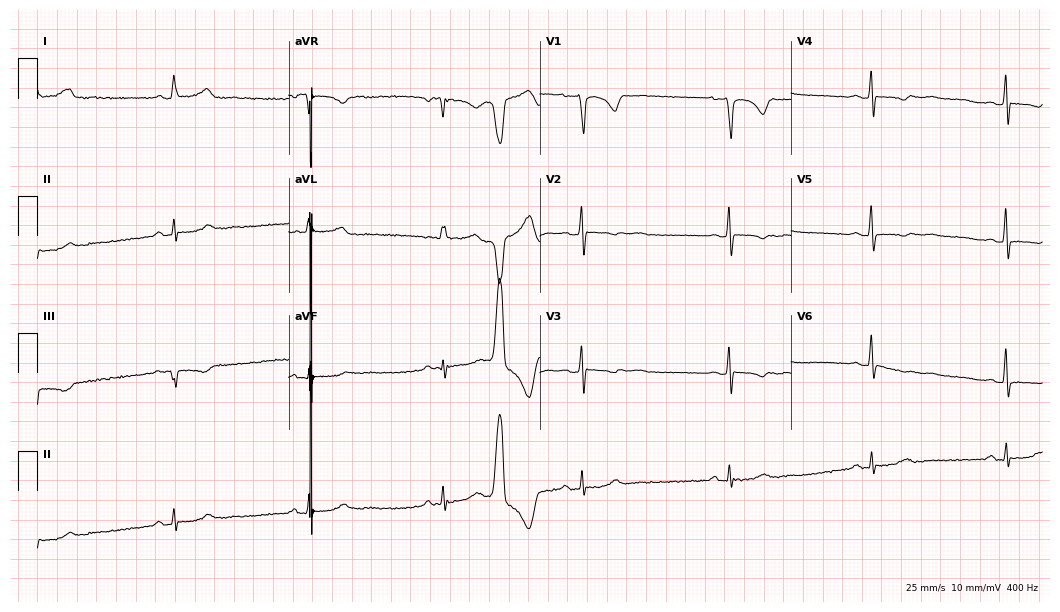
ECG — a woman, 64 years old. Findings include sinus bradycardia (a sinus rate of 50 beats per minute or less).